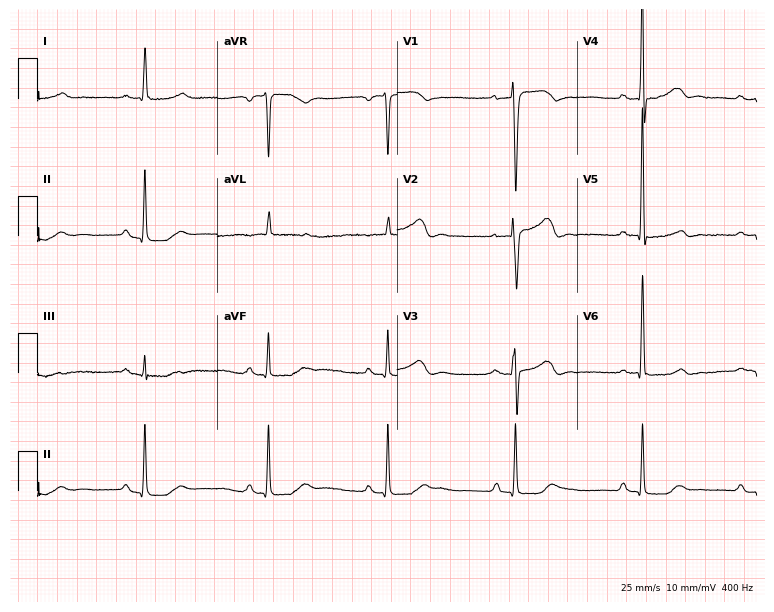
ECG (7.3-second recording at 400 Hz) — a 65-year-old male patient. Labelled as a normal ECG.